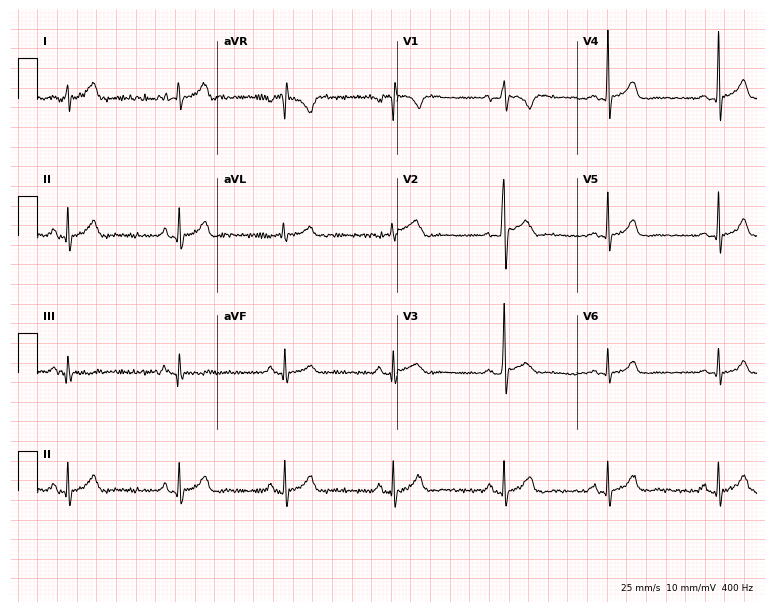
Electrocardiogram, a man, 27 years old. Overall reading on record: normal ECG.